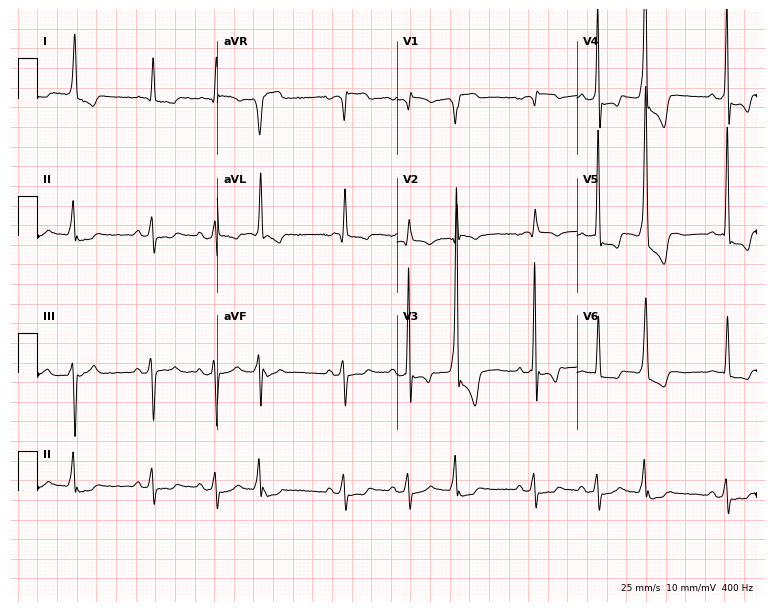
Standard 12-lead ECG recorded from a male patient, 72 years old. None of these six findings is recorded: first-degree AV block, right bundle branch block, left bundle branch block, sinus bradycardia, atrial fibrillation, sinus tachycardia. Only these six findings were labelled.